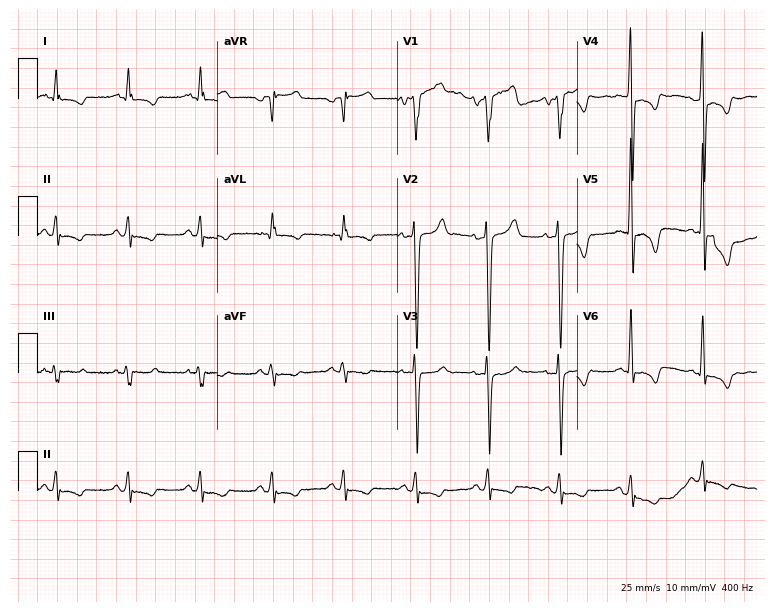
ECG — a 55-year-old male patient. Screened for six findings — first-degree AV block, right bundle branch block (RBBB), left bundle branch block (LBBB), sinus bradycardia, atrial fibrillation (AF), sinus tachycardia — none is recorded.